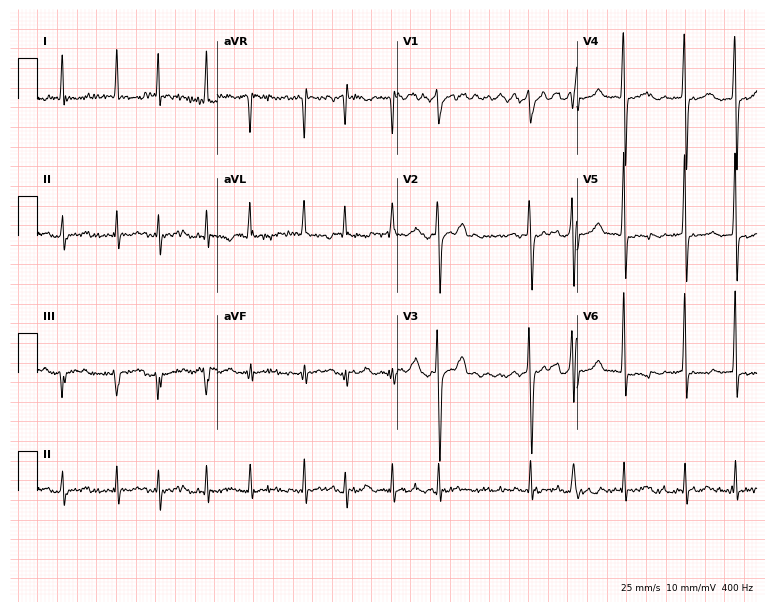
Electrocardiogram, a female patient, 70 years old. Interpretation includes atrial fibrillation.